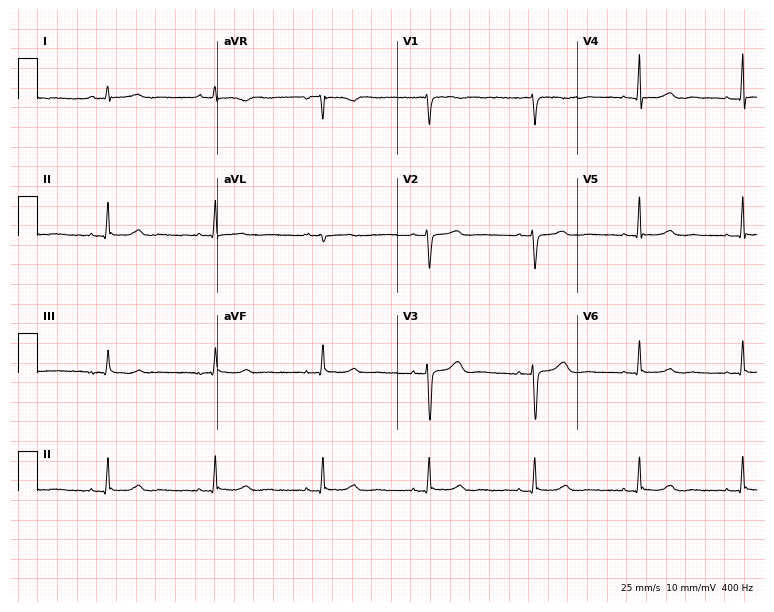
12-lead ECG from a female, 49 years old (7.3-second recording at 400 Hz). Recorded interpretation: within normal limits.